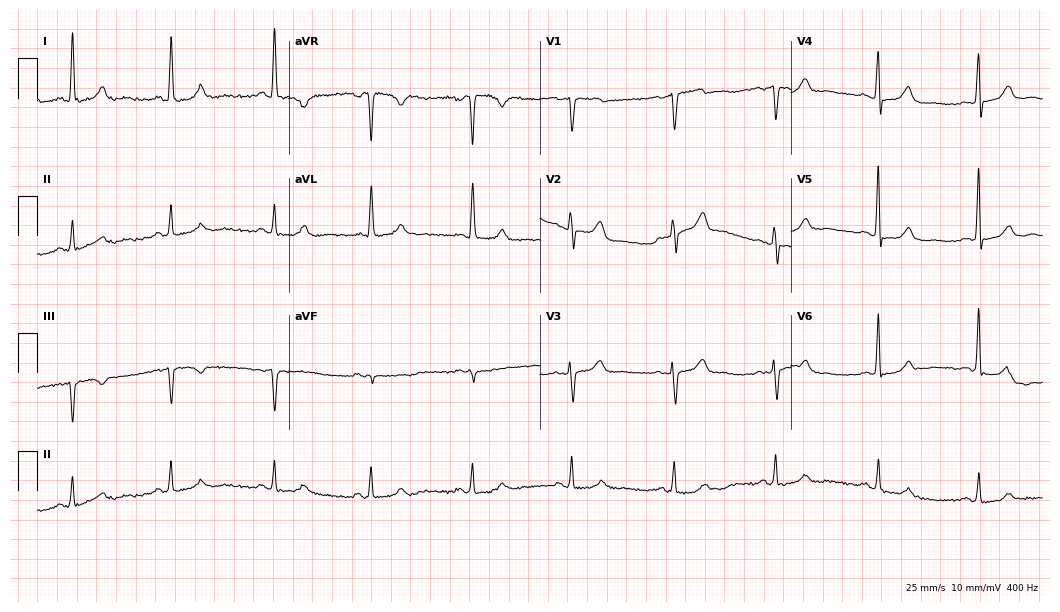
Resting 12-lead electrocardiogram. Patient: a female, 61 years old. Read as a normal ECG.